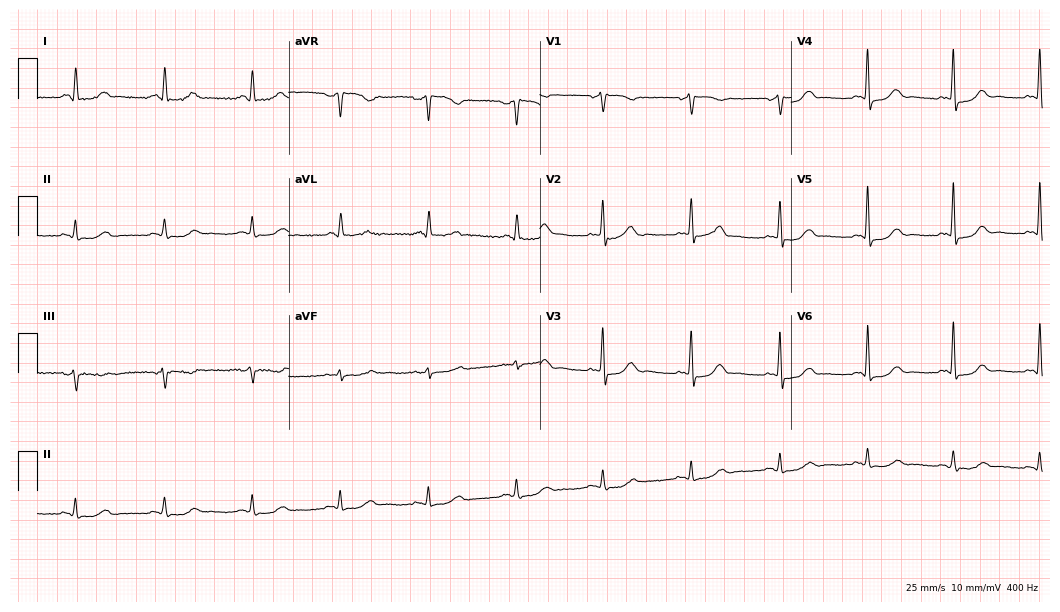
Electrocardiogram (10.2-second recording at 400 Hz), a female, 68 years old. Of the six screened findings (first-degree AV block, right bundle branch block, left bundle branch block, sinus bradycardia, atrial fibrillation, sinus tachycardia), none is recorded.